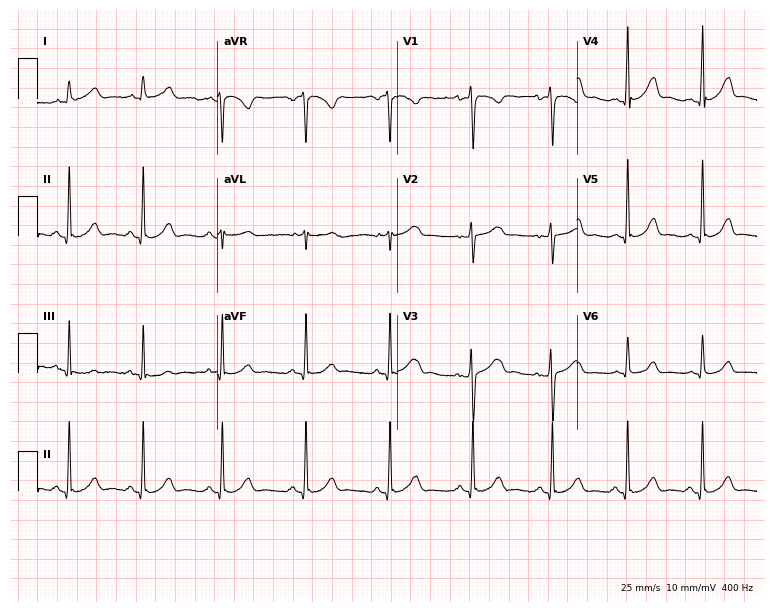
Resting 12-lead electrocardiogram (7.3-second recording at 400 Hz). Patient: a 29-year-old female. None of these six findings is recorded: first-degree AV block, right bundle branch block, left bundle branch block, sinus bradycardia, atrial fibrillation, sinus tachycardia.